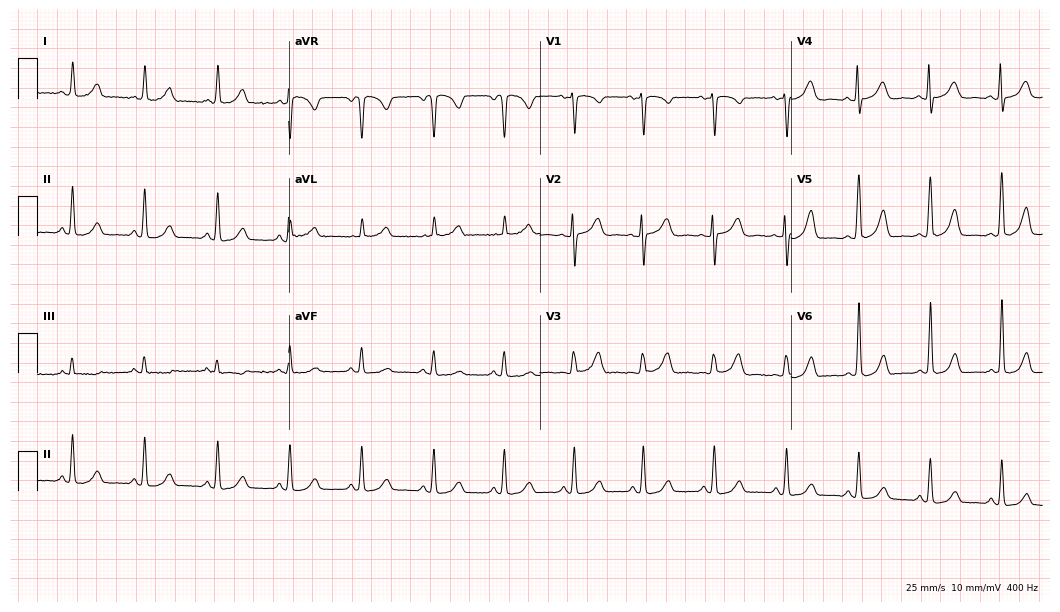
Resting 12-lead electrocardiogram. Patient: a 71-year-old female. None of these six findings is recorded: first-degree AV block, right bundle branch block, left bundle branch block, sinus bradycardia, atrial fibrillation, sinus tachycardia.